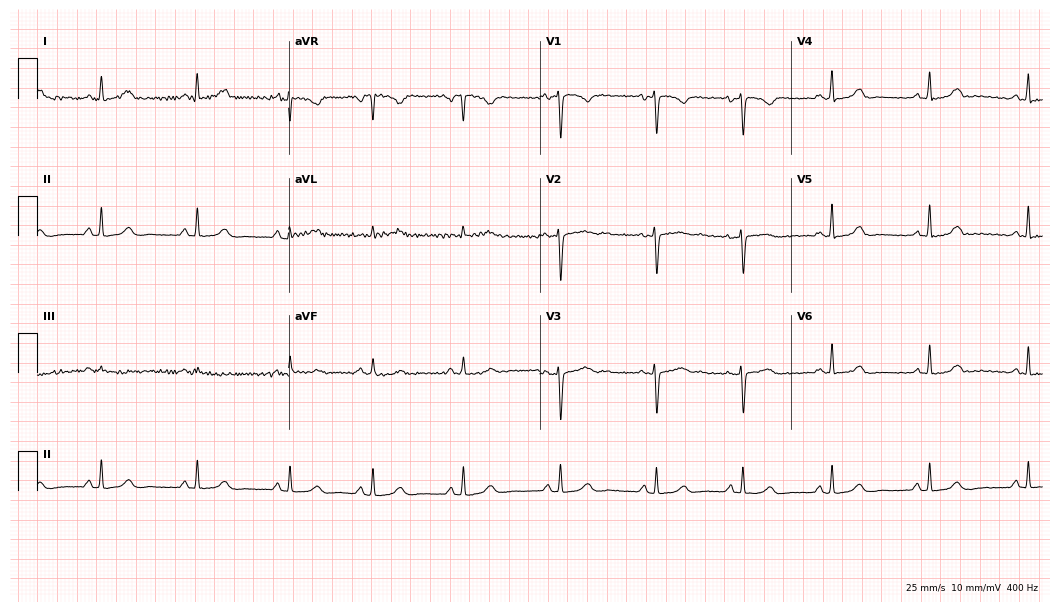
Resting 12-lead electrocardiogram (10.2-second recording at 400 Hz). Patient: a female, 31 years old. Read as a normal ECG.